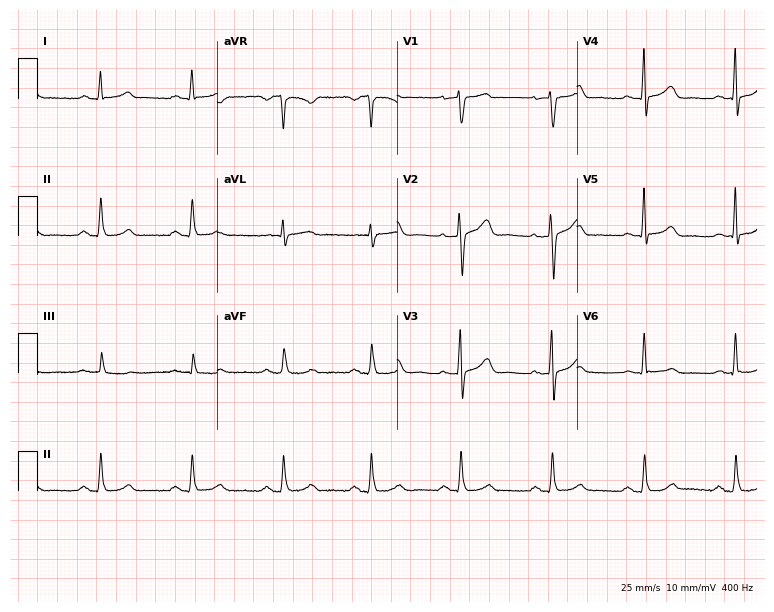
Standard 12-lead ECG recorded from a female patient, 66 years old. Read as a normal ECG.